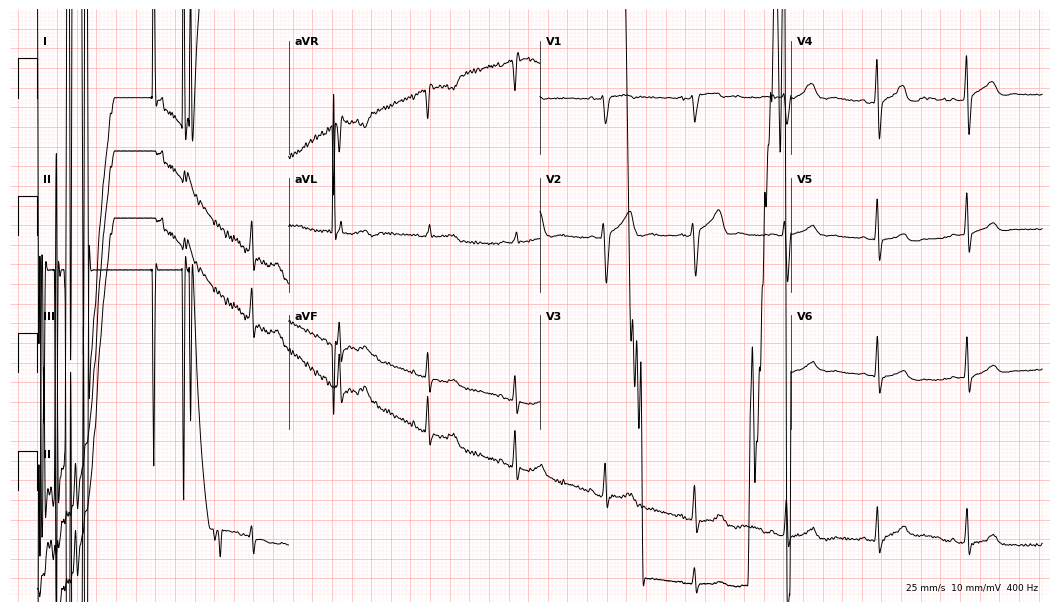
12-lead ECG from a male, 75 years old (10.2-second recording at 400 Hz). No first-degree AV block, right bundle branch block, left bundle branch block, sinus bradycardia, atrial fibrillation or sinus tachycardia recorded for this tracing. Only these six findings were labelled.